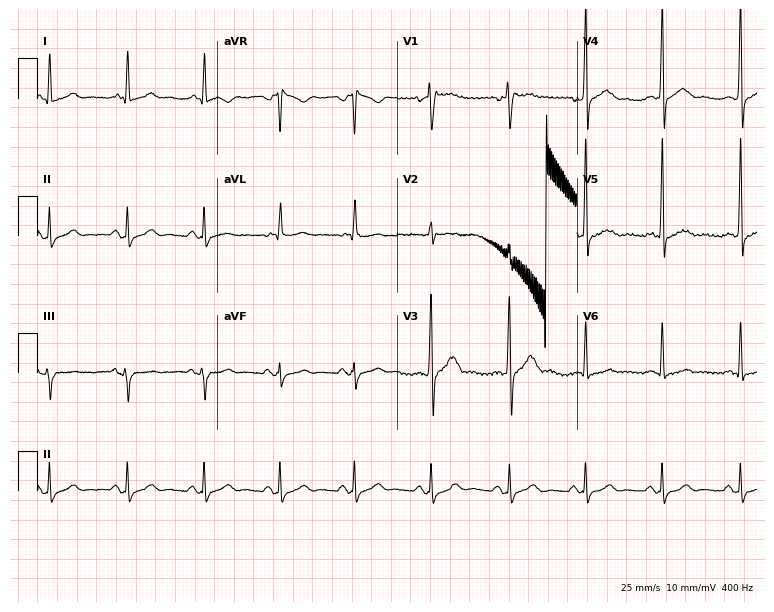
ECG — a male patient, 36 years old. Labelled as a normal ECG.